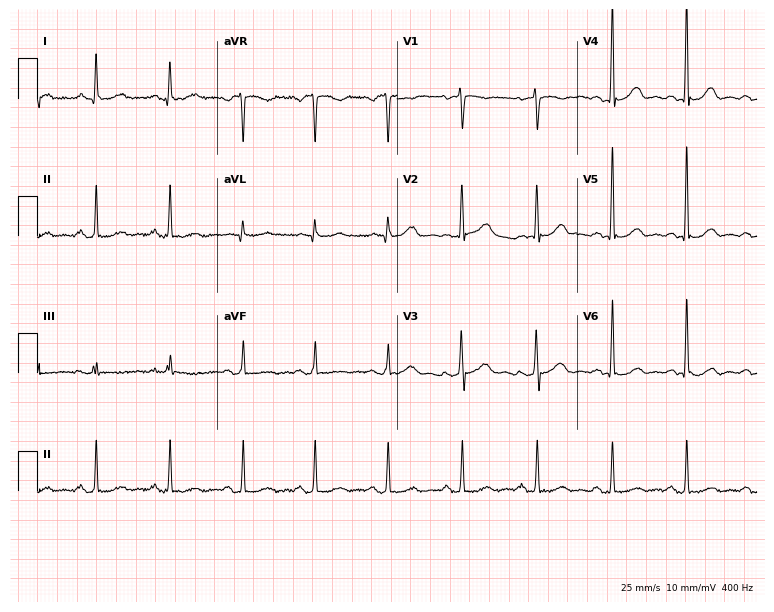
Electrocardiogram, a 51-year-old female. Of the six screened findings (first-degree AV block, right bundle branch block, left bundle branch block, sinus bradycardia, atrial fibrillation, sinus tachycardia), none is recorded.